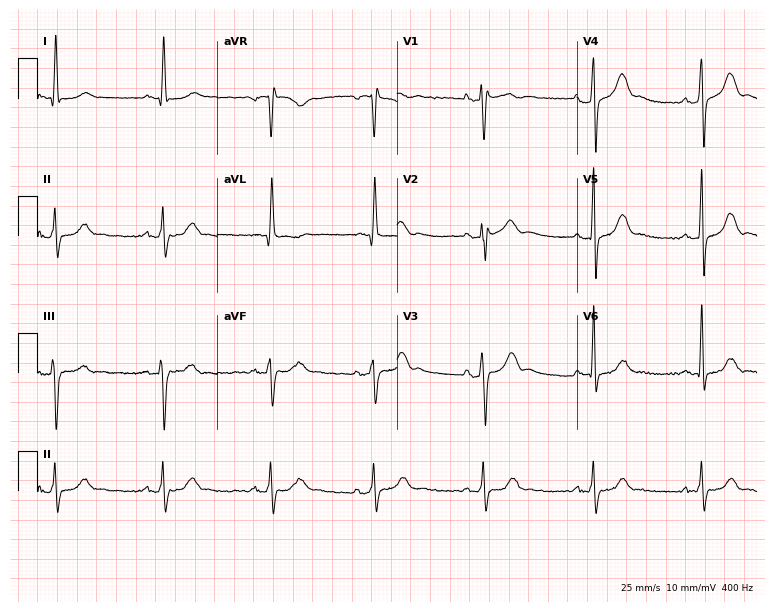
Electrocardiogram (7.3-second recording at 400 Hz), an 85-year-old male. Overall reading on record: normal ECG.